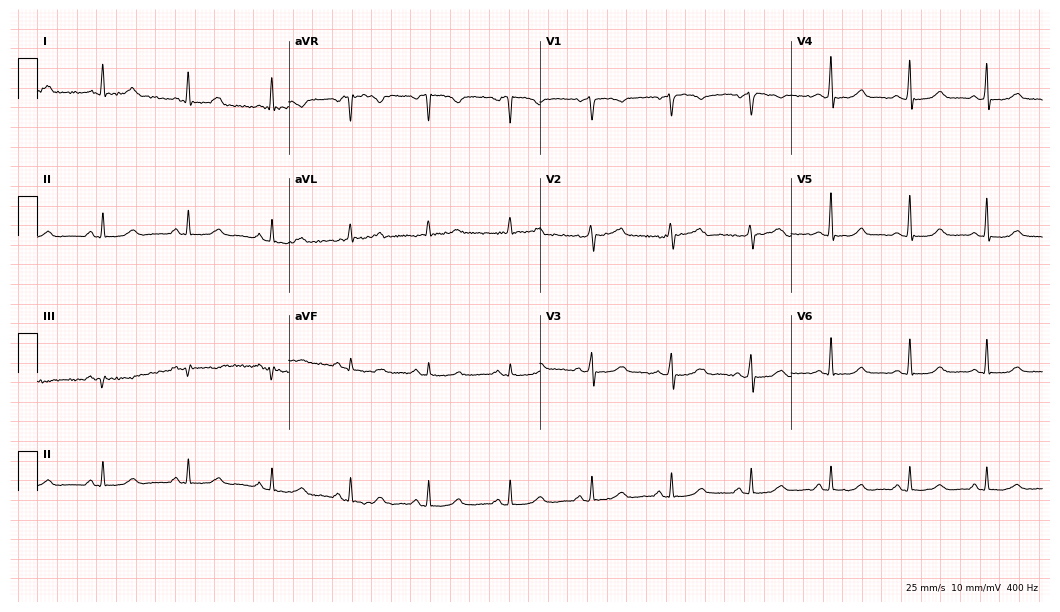
12-lead ECG from a woman, 55 years old. Recorded interpretation: within normal limits.